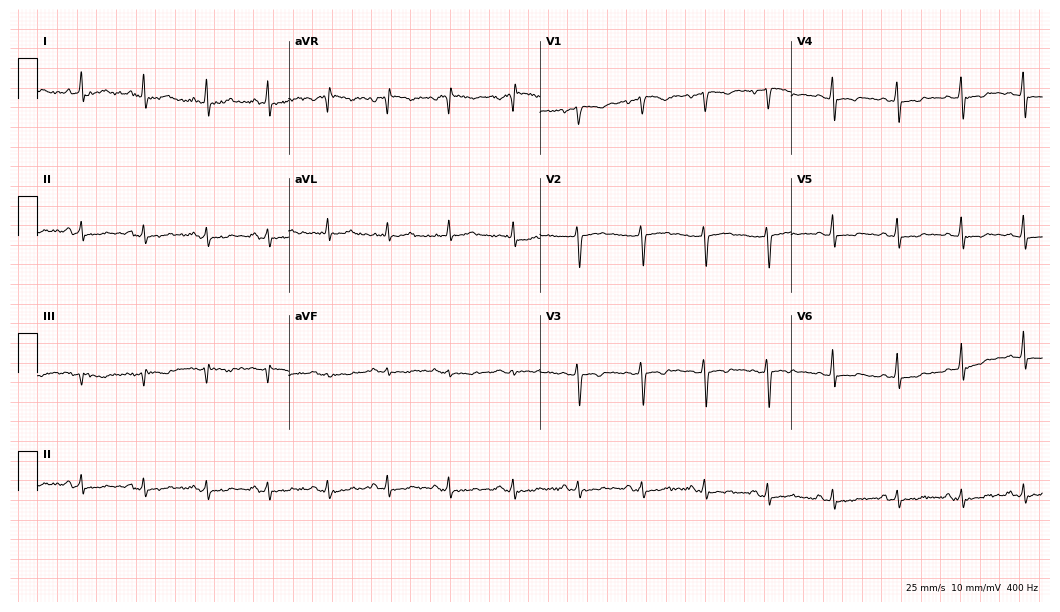
ECG (10.2-second recording at 400 Hz) — a woman, 43 years old. Screened for six findings — first-degree AV block, right bundle branch block, left bundle branch block, sinus bradycardia, atrial fibrillation, sinus tachycardia — none is recorded.